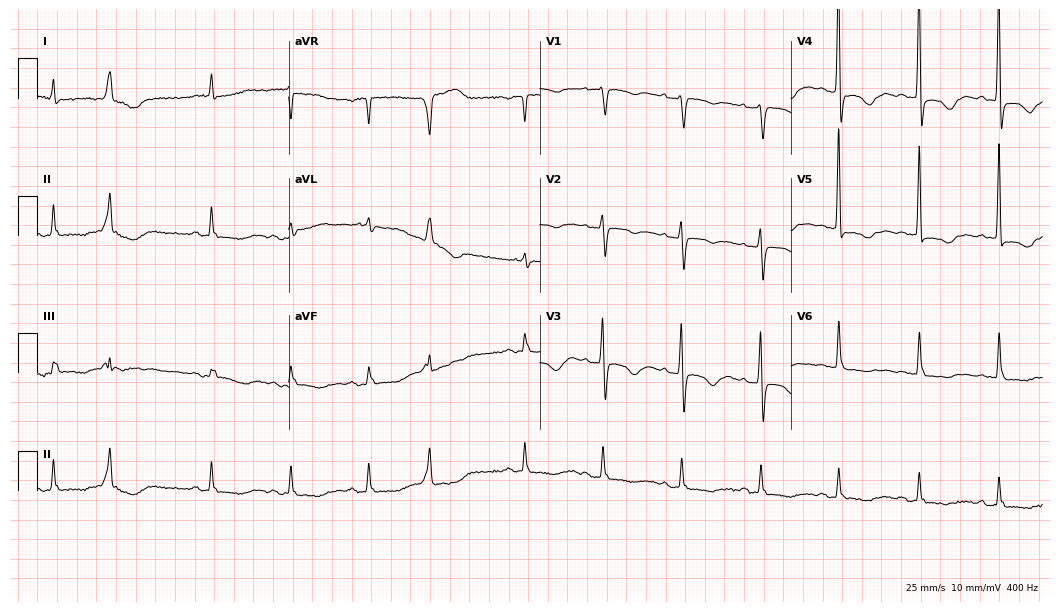
Standard 12-lead ECG recorded from a female, 77 years old (10.2-second recording at 400 Hz). None of these six findings is recorded: first-degree AV block, right bundle branch block, left bundle branch block, sinus bradycardia, atrial fibrillation, sinus tachycardia.